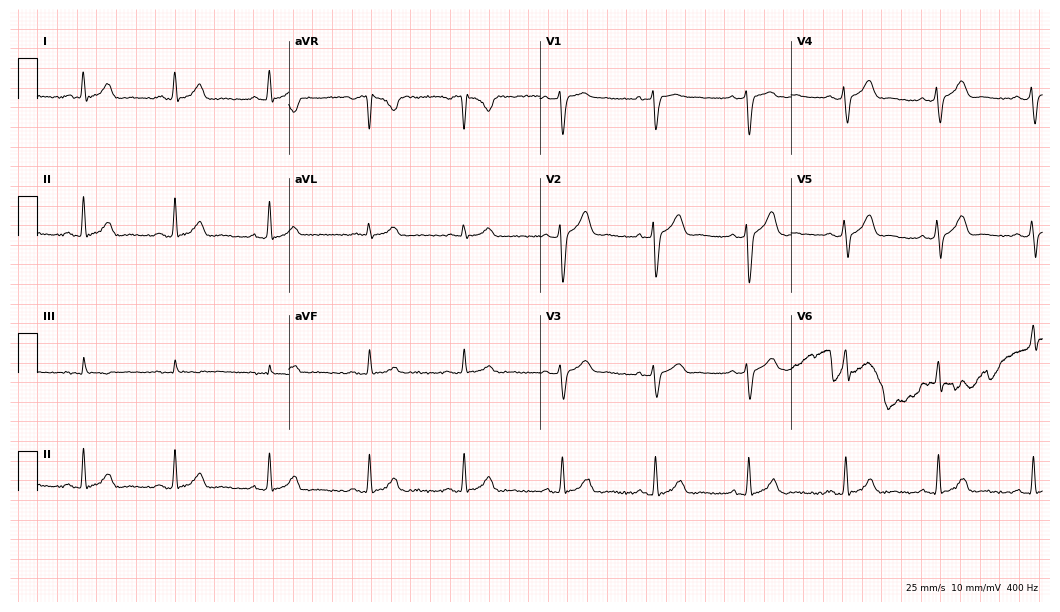
12-lead ECG from a male patient, 33 years old. Recorded interpretation: within normal limits.